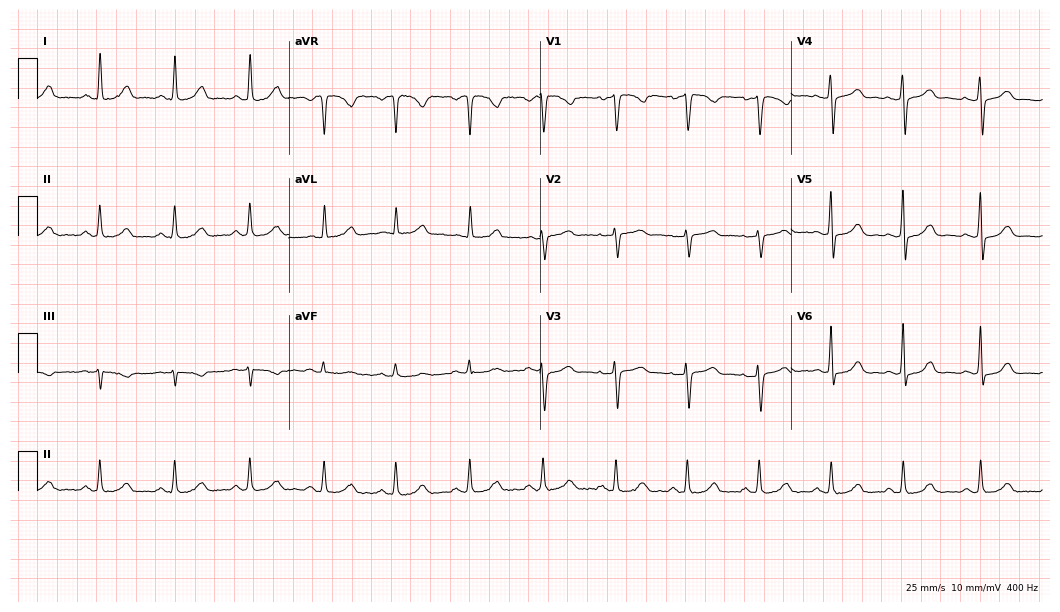
12-lead ECG from a female, 48 years old. Labelled as a normal ECG.